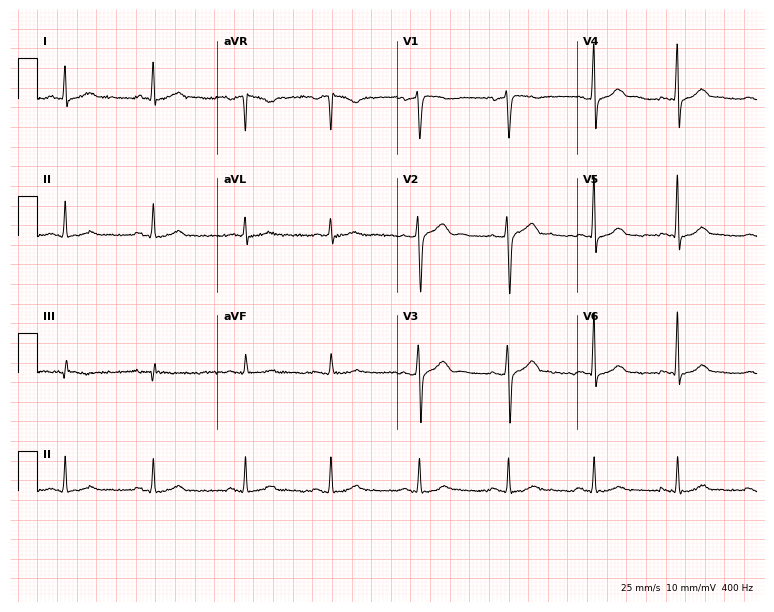
Resting 12-lead electrocardiogram. Patient: a male, 42 years old. Read as a normal ECG.